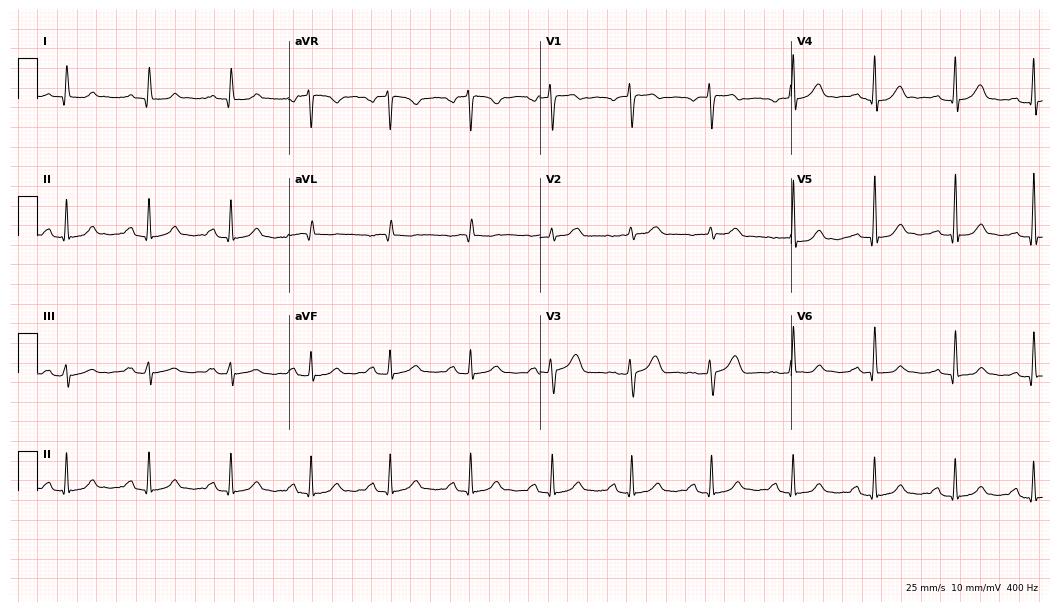
12-lead ECG from a 48-year-old female patient. Recorded interpretation: within normal limits.